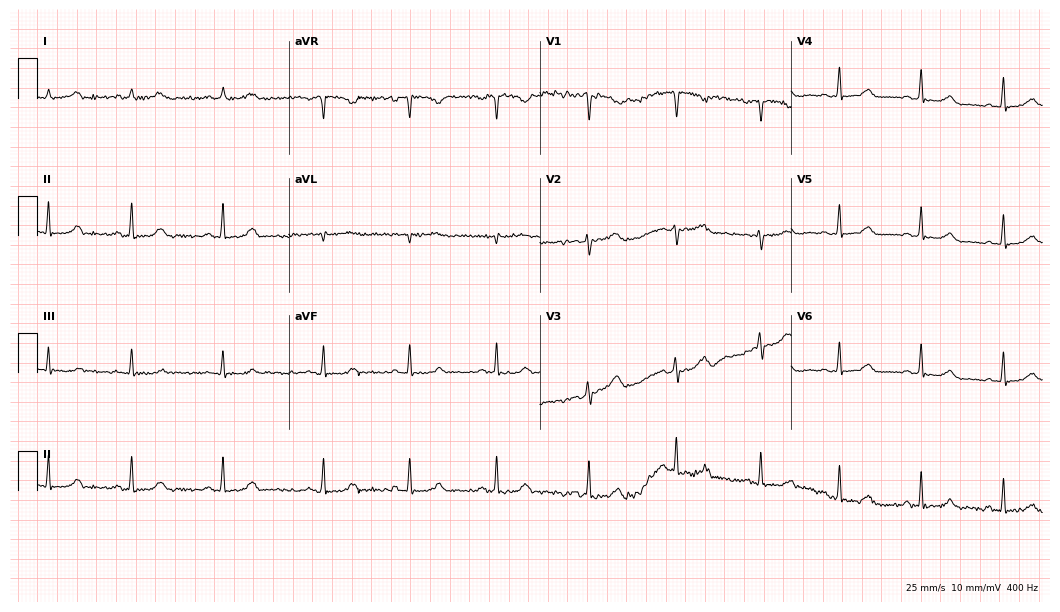
Electrocardiogram (10.2-second recording at 400 Hz), a 30-year-old female patient. Of the six screened findings (first-degree AV block, right bundle branch block, left bundle branch block, sinus bradycardia, atrial fibrillation, sinus tachycardia), none is recorded. Other findings, if any, are not listed.